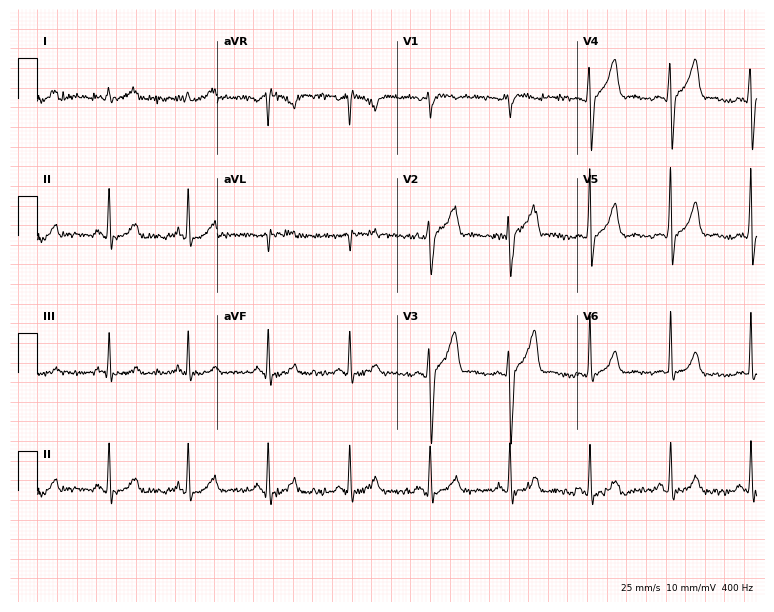
Standard 12-lead ECG recorded from a man, 56 years old. Read as a normal ECG.